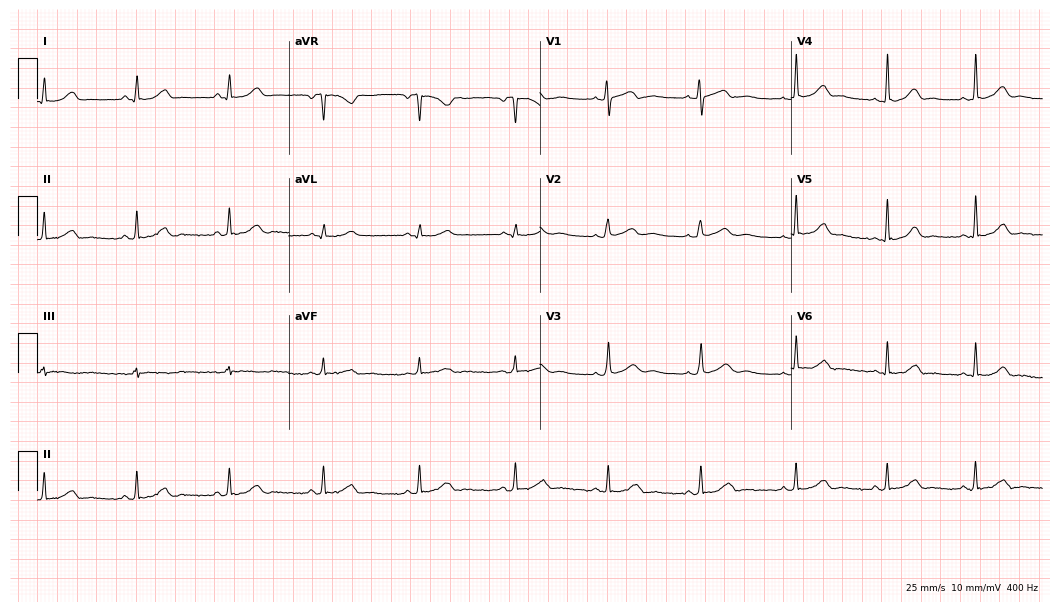
Electrocardiogram (10.2-second recording at 400 Hz), a female, 27 years old. Overall reading on record: normal ECG.